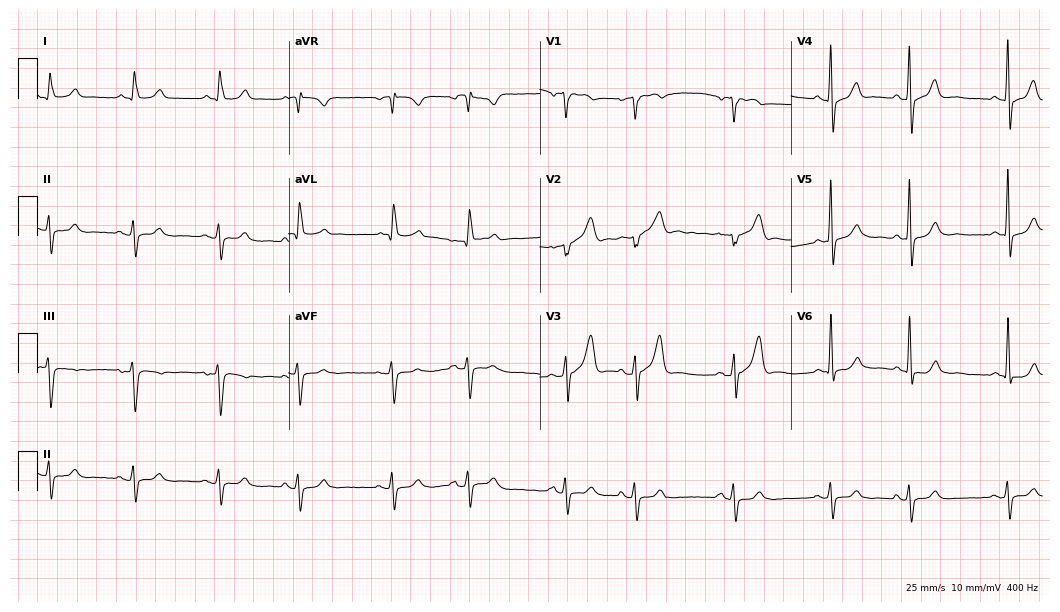
12-lead ECG from an 83-year-old man. No first-degree AV block, right bundle branch block, left bundle branch block, sinus bradycardia, atrial fibrillation or sinus tachycardia recorded for this tracing. Findings outside these six are not listed.